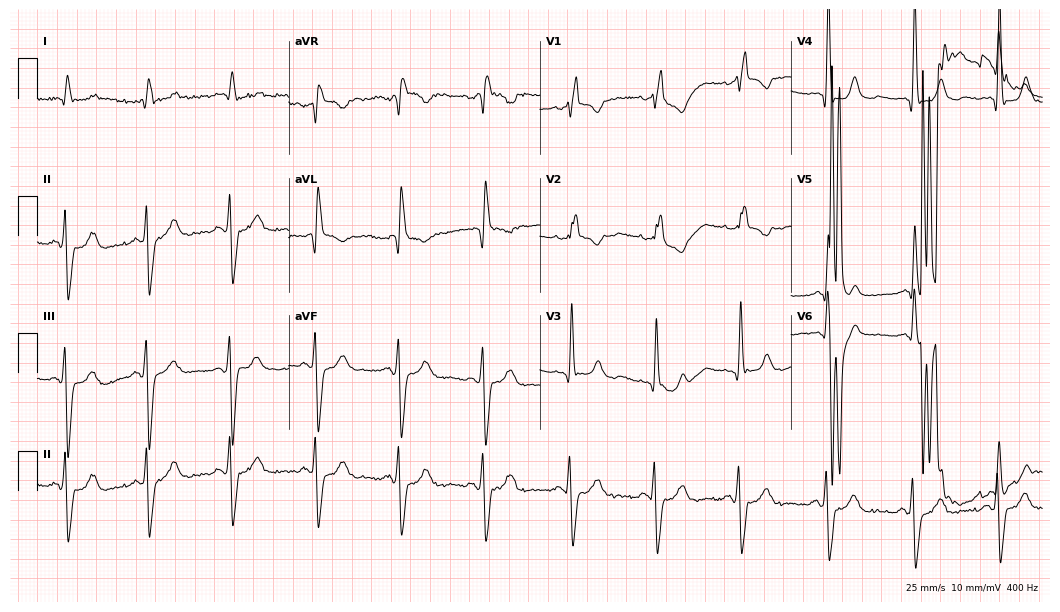
Resting 12-lead electrocardiogram. Patient: an 80-year-old male. The tracing shows right bundle branch block.